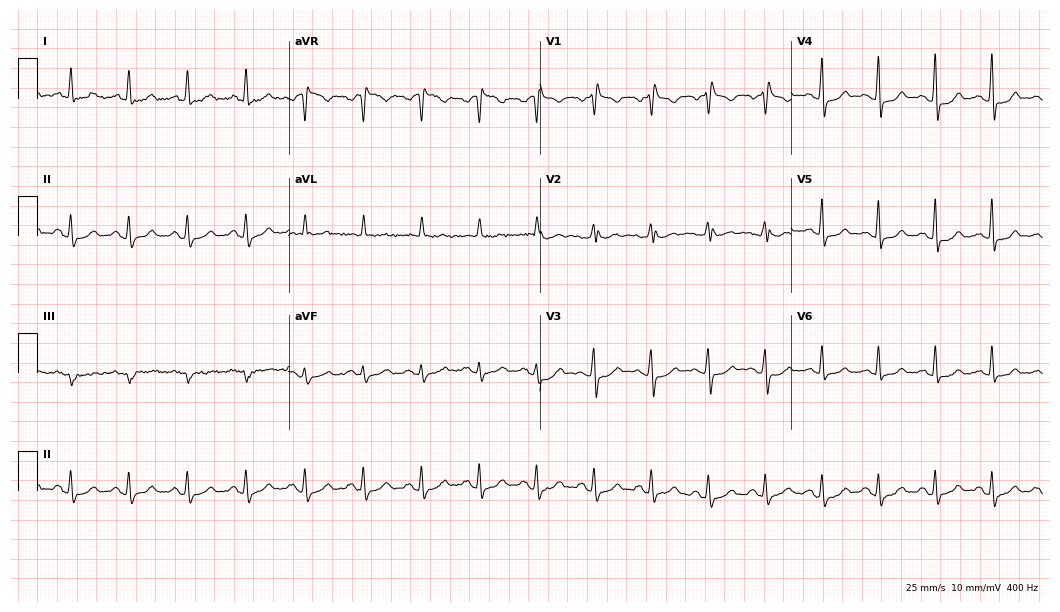
Electrocardiogram, a 46-year-old female patient. Of the six screened findings (first-degree AV block, right bundle branch block (RBBB), left bundle branch block (LBBB), sinus bradycardia, atrial fibrillation (AF), sinus tachycardia), none is recorded.